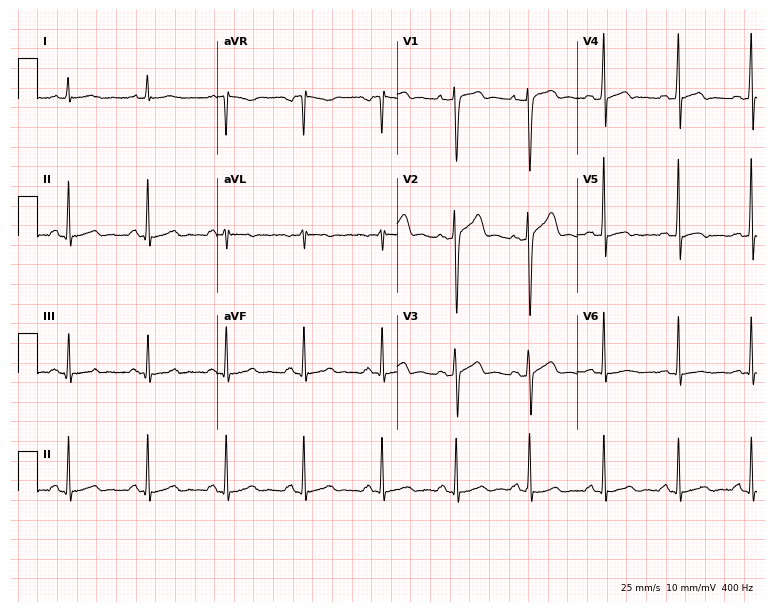
Resting 12-lead electrocardiogram (7.3-second recording at 400 Hz). Patient: a male, 27 years old. None of these six findings is recorded: first-degree AV block, right bundle branch block, left bundle branch block, sinus bradycardia, atrial fibrillation, sinus tachycardia.